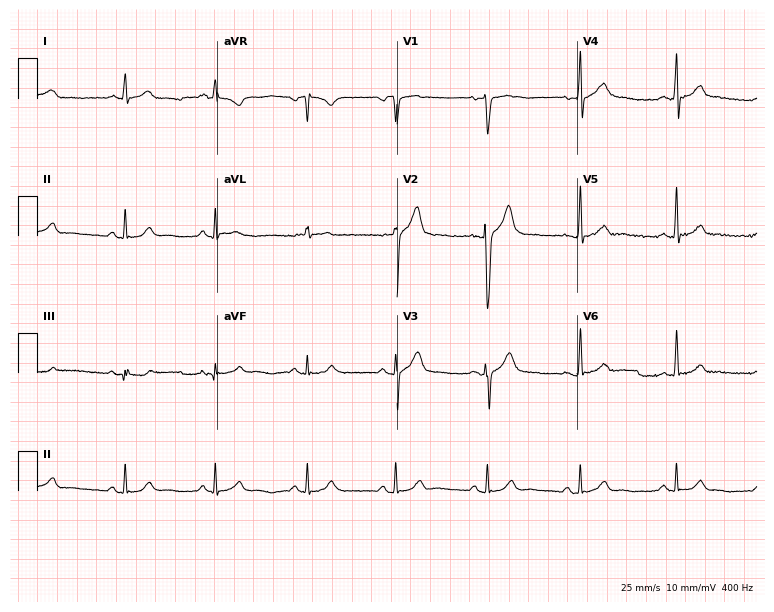
12-lead ECG from a male patient, 32 years old. Recorded interpretation: within normal limits.